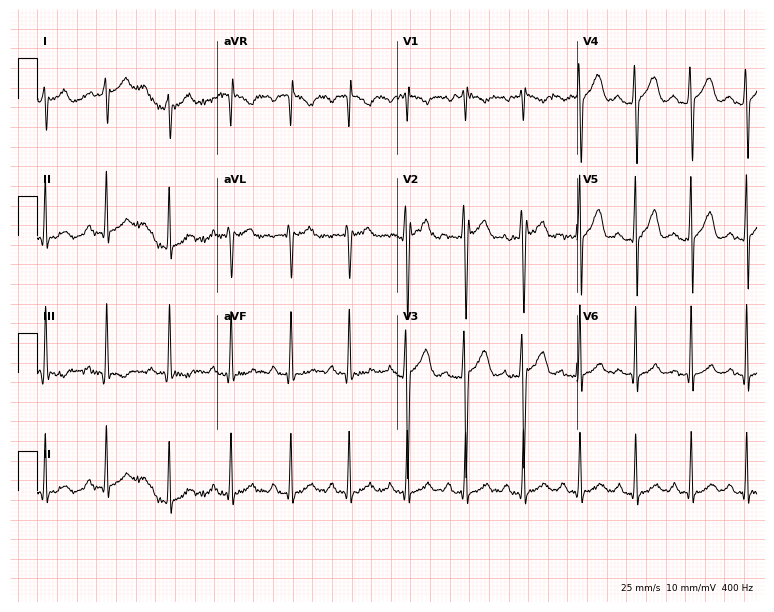
Electrocardiogram (7.3-second recording at 400 Hz), a man, 22 years old. Overall reading on record: normal ECG.